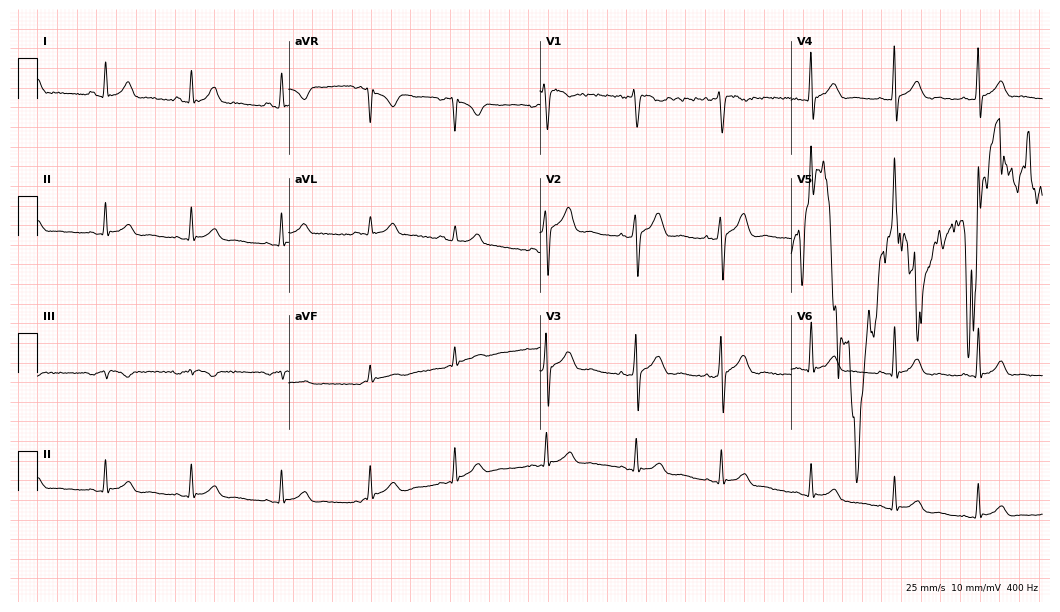
12-lead ECG from a 34-year-old male. Screened for six findings — first-degree AV block, right bundle branch block, left bundle branch block, sinus bradycardia, atrial fibrillation, sinus tachycardia — none is recorded.